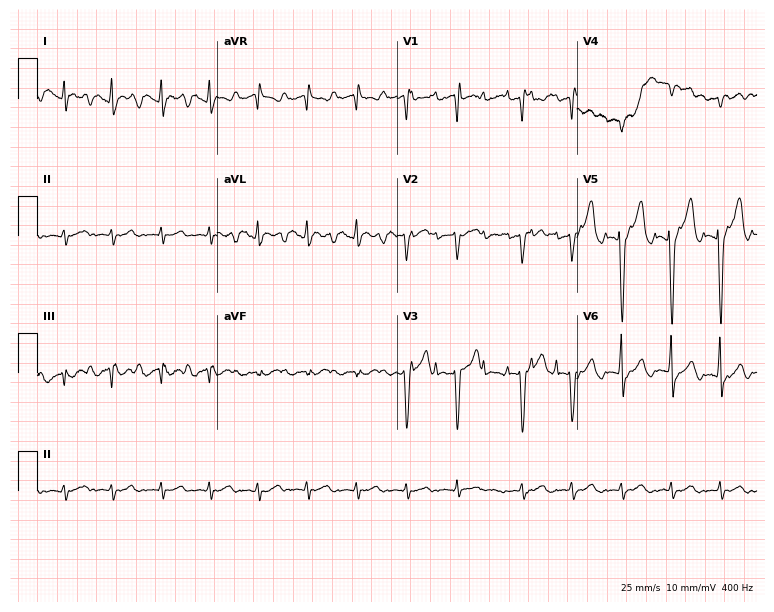
12-lead ECG from a male, 61 years old. Screened for six findings — first-degree AV block, right bundle branch block, left bundle branch block, sinus bradycardia, atrial fibrillation, sinus tachycardia — none is recorded. Findings outside these six are not listed.